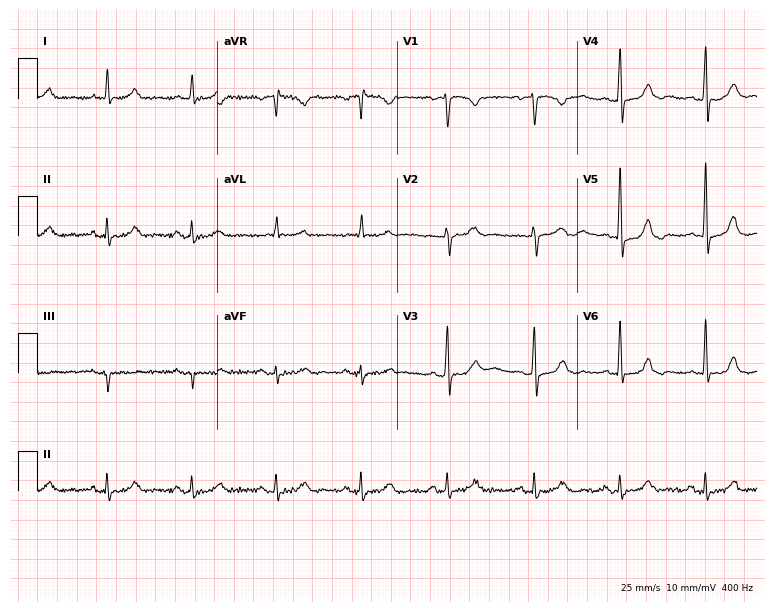
Electrocardiogram (7.3-second recording at 400 Hz), a male, 59 years old. Overall reading on record: normal ECG.